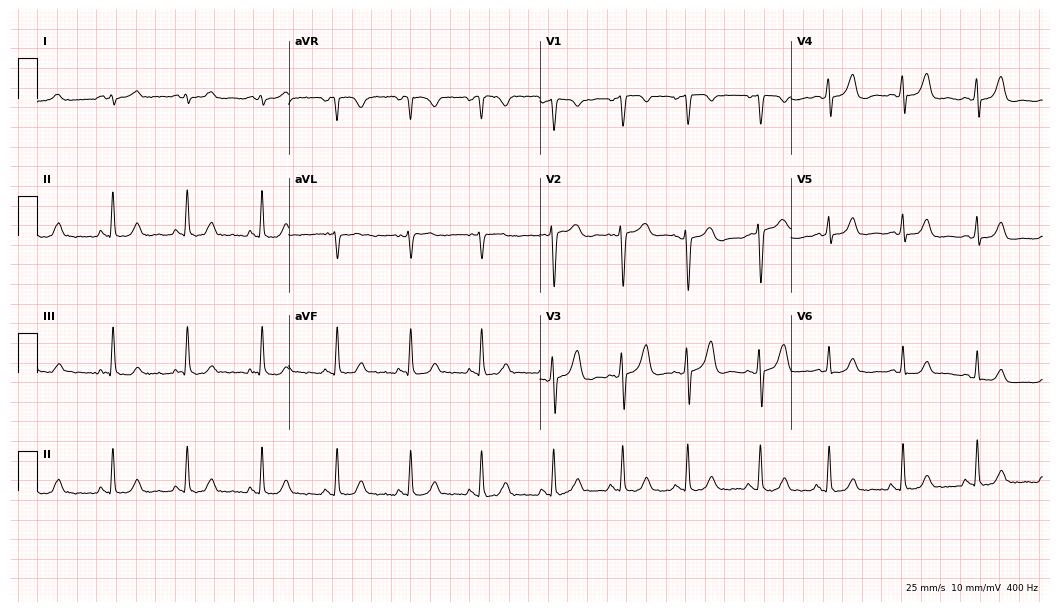
Standard 12-lead ECG recorded from a female, 31 years old. Read as a normal ECG.